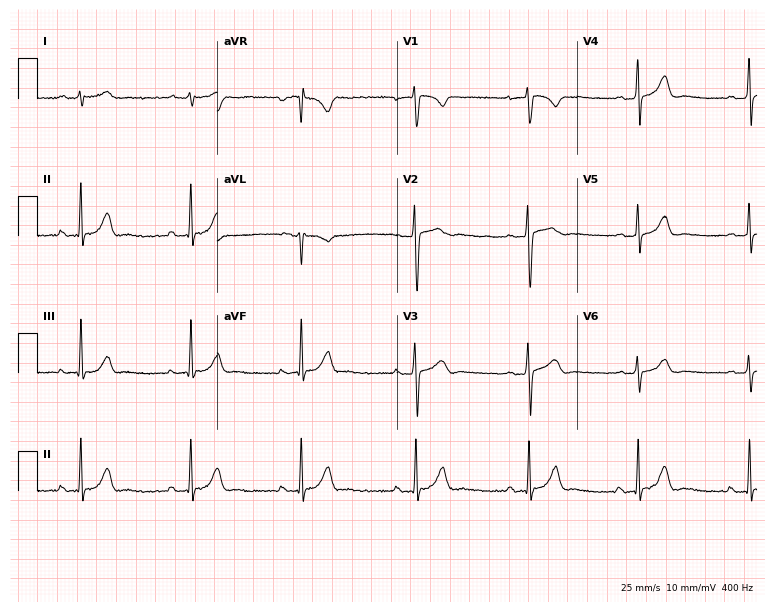
12-lead ECG from a man, 31 years old. Labelled as a normal ECG.